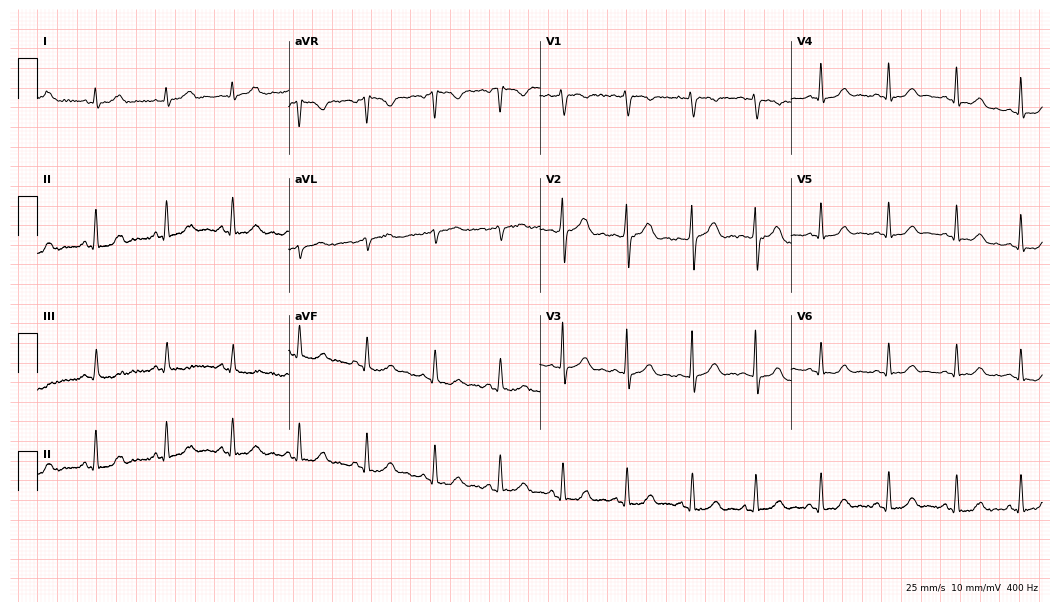
12-lead ECG from a female patient, 23 years old. Recorded interpretation: within normal limits.